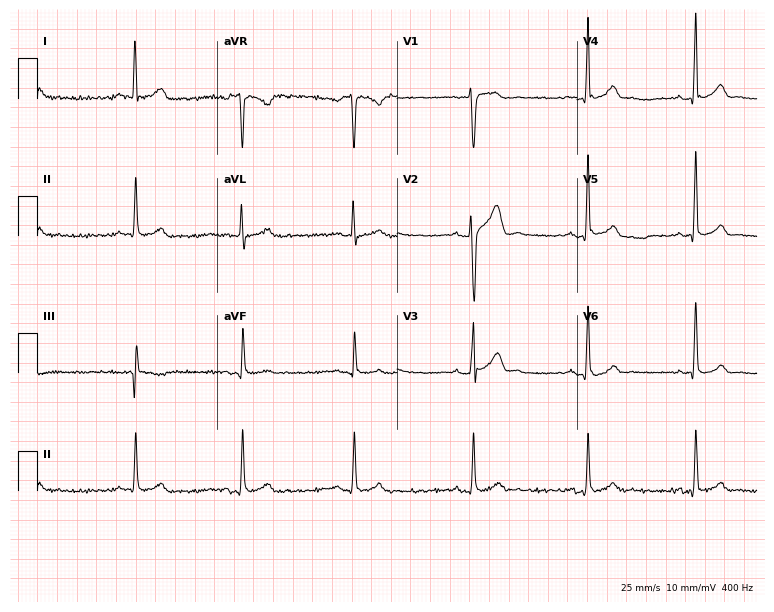
ECG (7.3-second recording at 400 Hz) — a man, 28 years old. Labelled as a normal ECG.